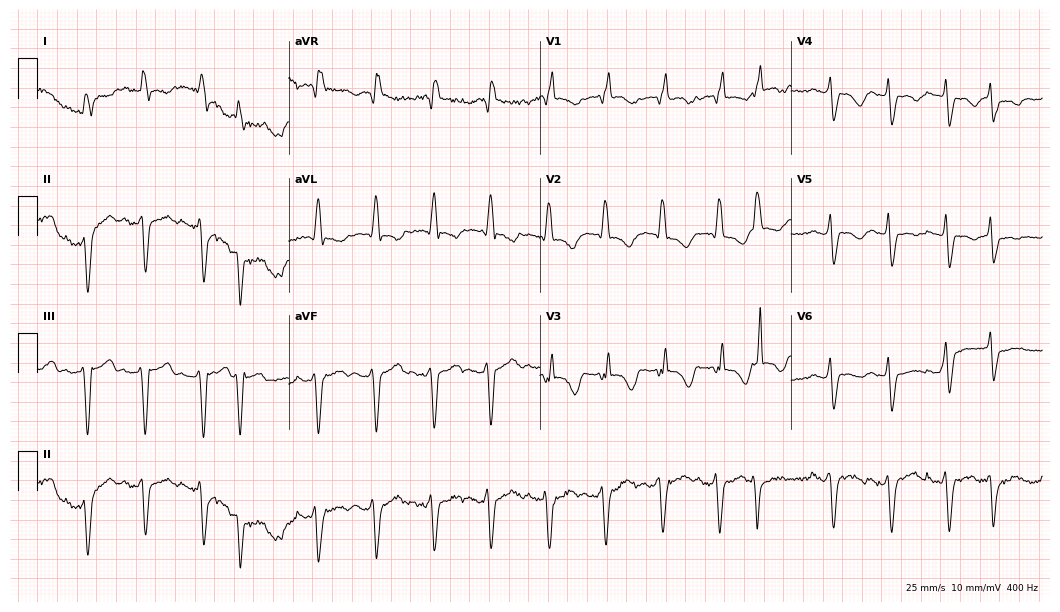
12-lead ECG from a woman, 72 years old (10.2-second recording at 400 Hz). Shows right bundle branch block, sinus tachycardia (a sinus rate of 100 beats per minute or more).